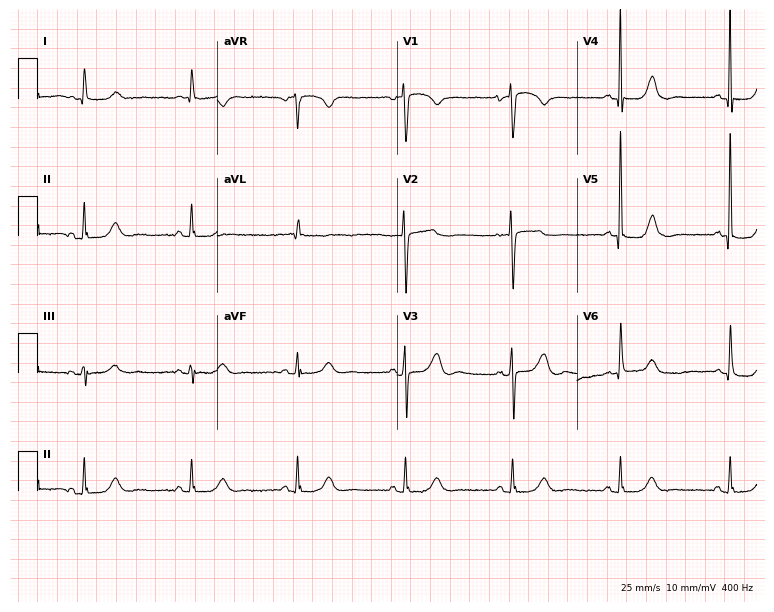
Resting 12-lead electrocardiogram (7.3-second recording at 400 Hz). Patient: an 82-year-old female. Read as a normal ECG.